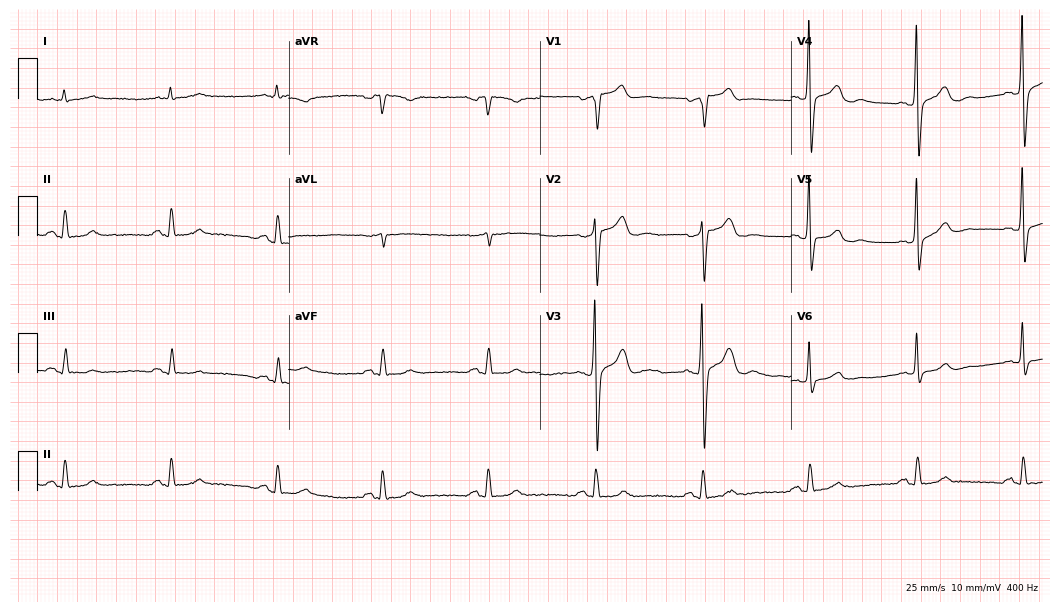
Resting 12-lead electrocardiogram. Patient: a 73-year-old male. Read as a normal ECG.